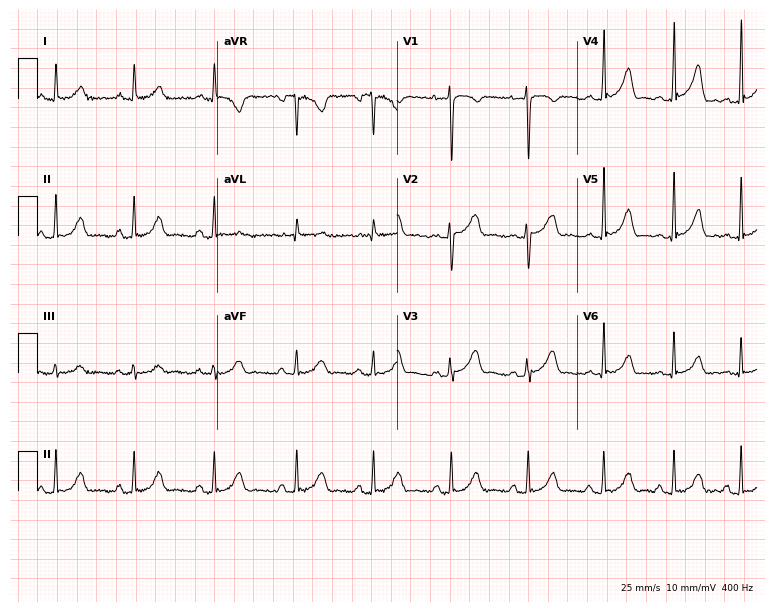
Standard 12-lead ECG recorded from a female patient, 25 years old (7.3-second recording at 400 Hz). Read as a normal ECG.